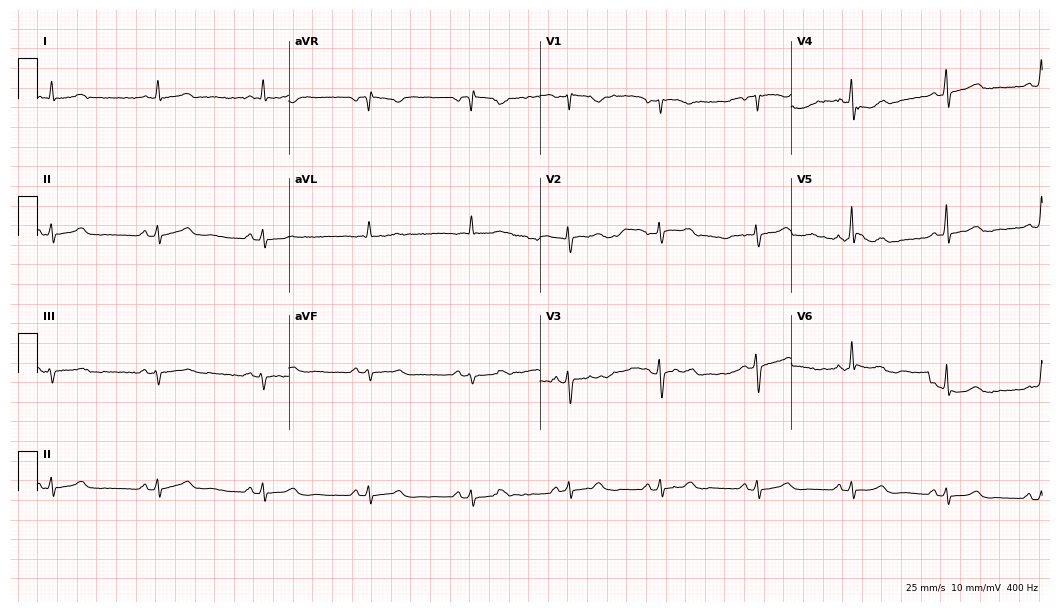
Electrocardiogram, a woman, 41 years old. Overall reading on record: normal ECG.